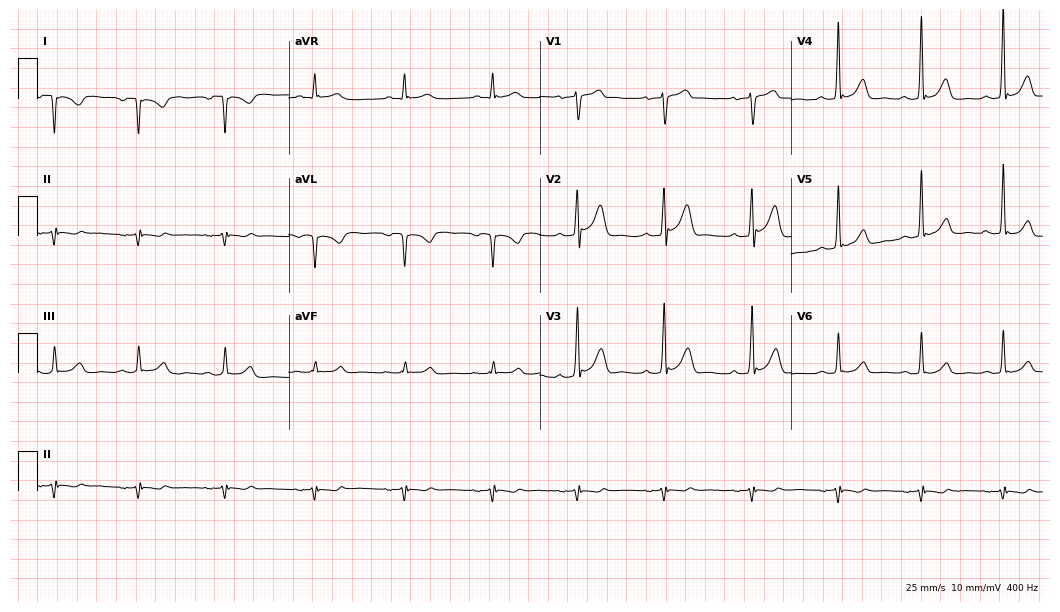
Resting 12-lead electrocardiogram (10.2-second recording at 400 Hz). Patient: a man, 56 years old. None of these six findings is recorded: first-degree AV block, right bundle branch block, left bundle branch block, sinus bradycardia, atrial fibrillation, sinus tachycardia. Other findings, if any, are not listed.